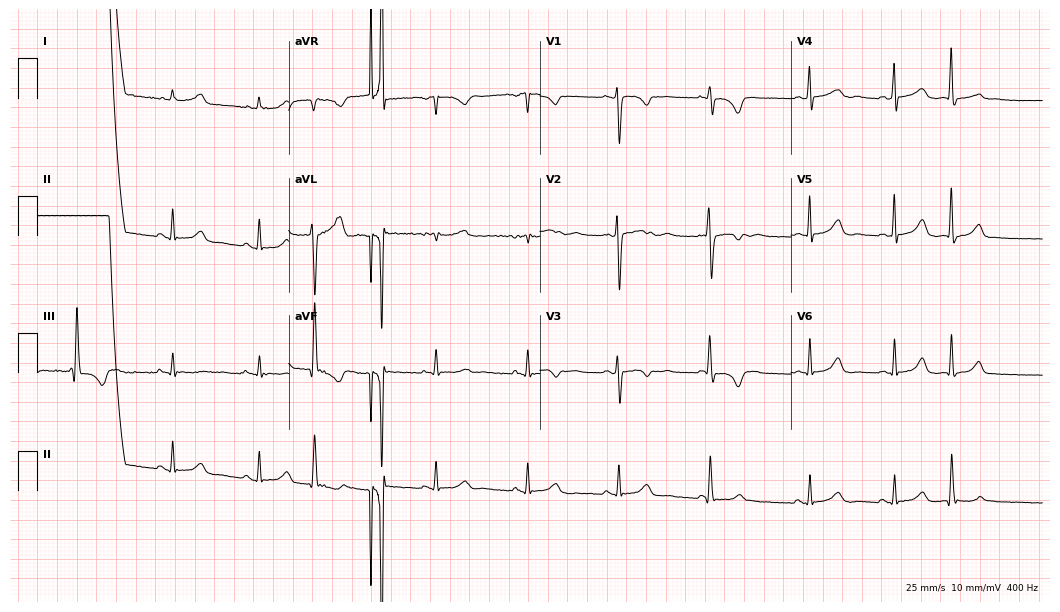
Resting 12-lead electrocardiogram (10.2-second recording at 400 Hz). Patient: a woman, 19 years old. None of these six findings is recorded: first-degree AV block, right bundle branch block, left bundle branch block, sinus bradycardia, atrial fibrillation, sinus tachycardia.